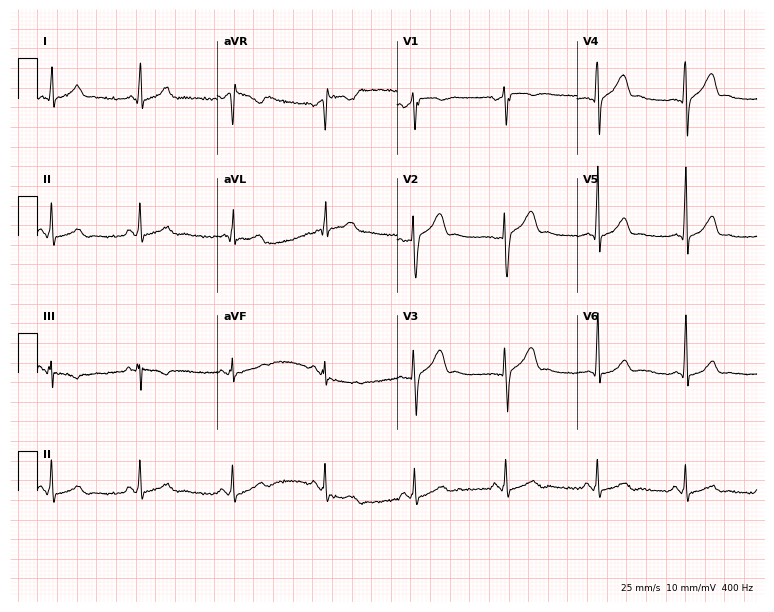
Resting 12-lead electrocardiogram. Patient: a 30-year-old male. Read as a normal ECG.